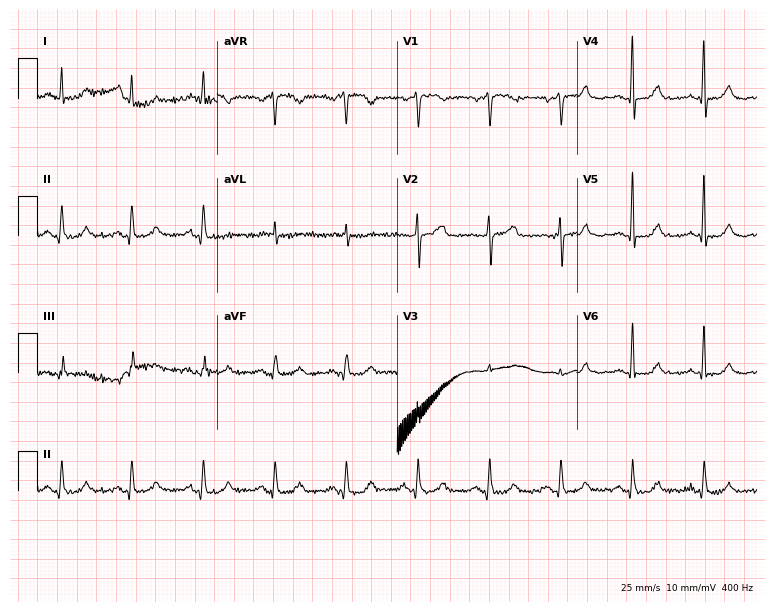
ECG (7.3-second recording at 400 Hz) — a woman, 62 years old. Labelled as a normal ECG.